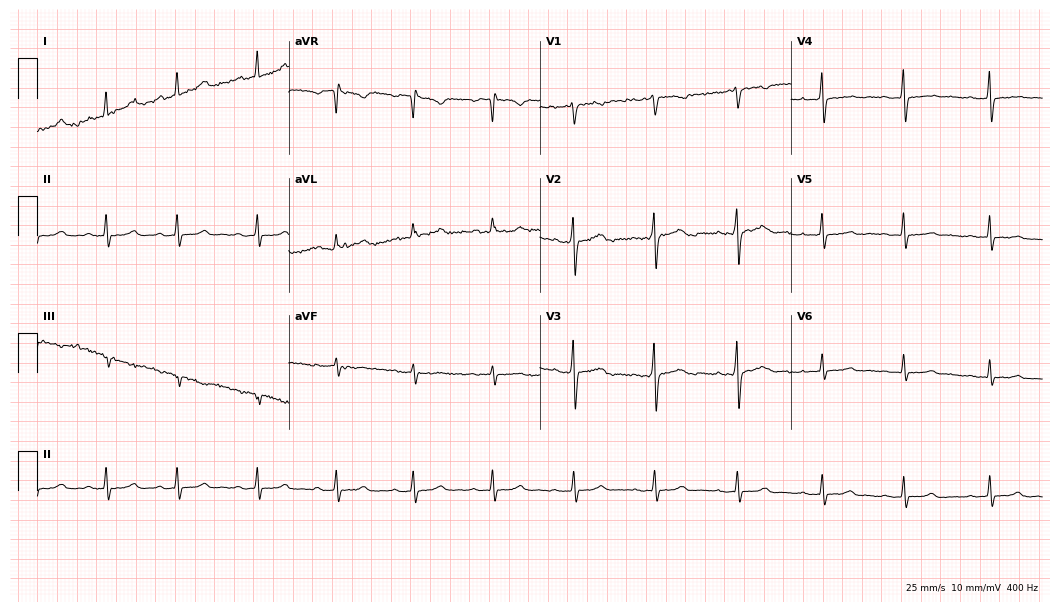
Resting 12-lead electrocardiogram. Patient: a female, 36 years old. Read as a normal ECG.